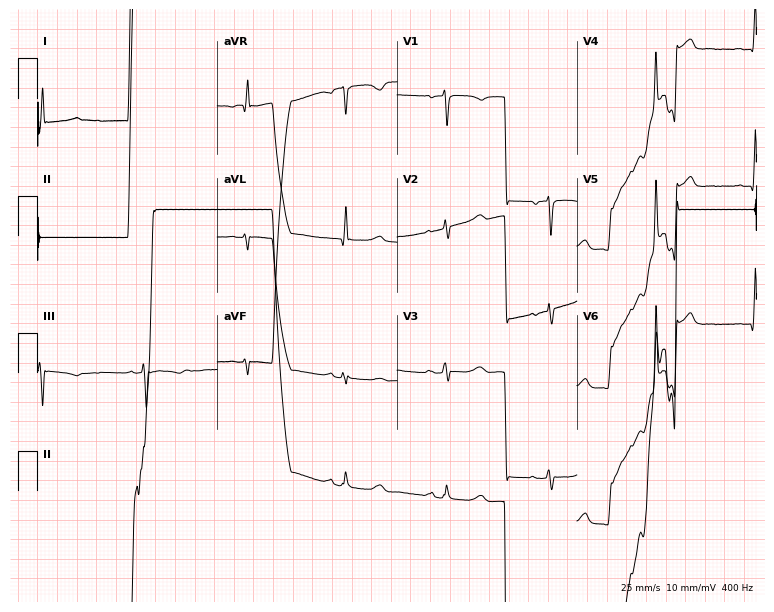
Resting 12-lead electrocardiogram (7.3-second recording at 400 Hz). Patient: a 45-year-old female. None of these six findings is recorded: first-degree AV block, right bundle branch block (RBBB), left bundle branch block (LBBB), sinus bradycardia, atrial fibrillation (AF), sinus tachycardia.